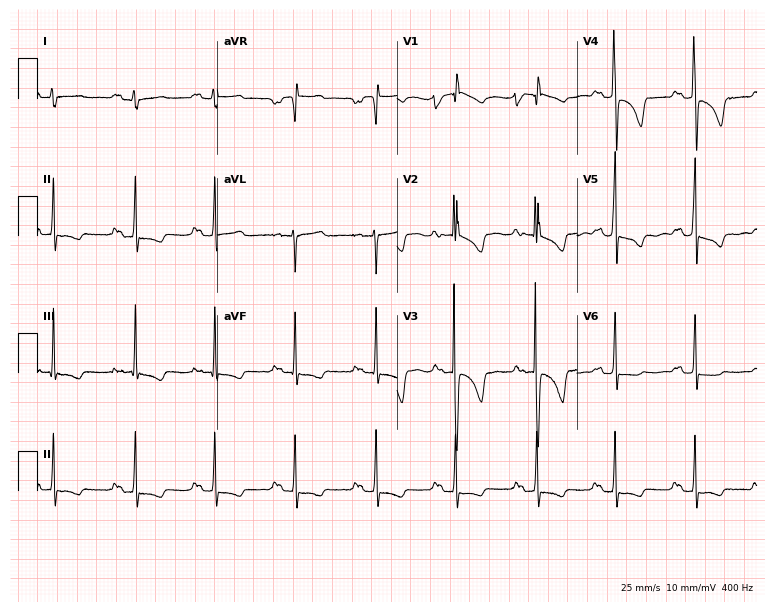
Standard 12-lead ECG recorded from a woman, 18 years old. The tracing shows first-degree AV block.